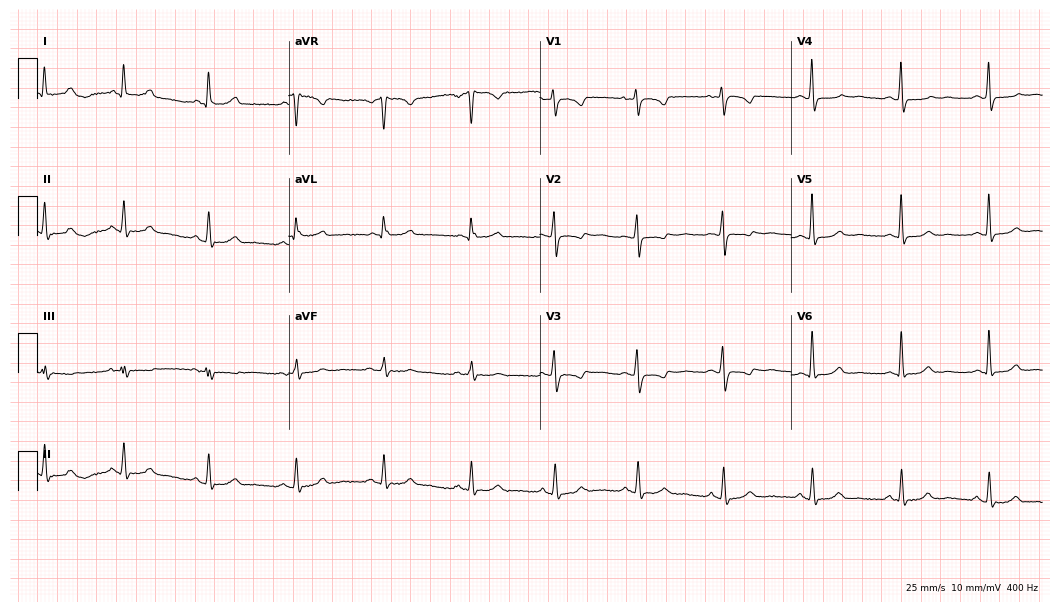
Resting 12-lead electrocardiogram (10.2-second recording at 400 Hz). Patient: a woman, 55 years old. None of these six findings is recorded: first-degree AV block, right bundle branch block (RBBB), left bundle branch block (LBBB), sinus bradycardia, atrial fibrillation (AF), sinus tachycardia.